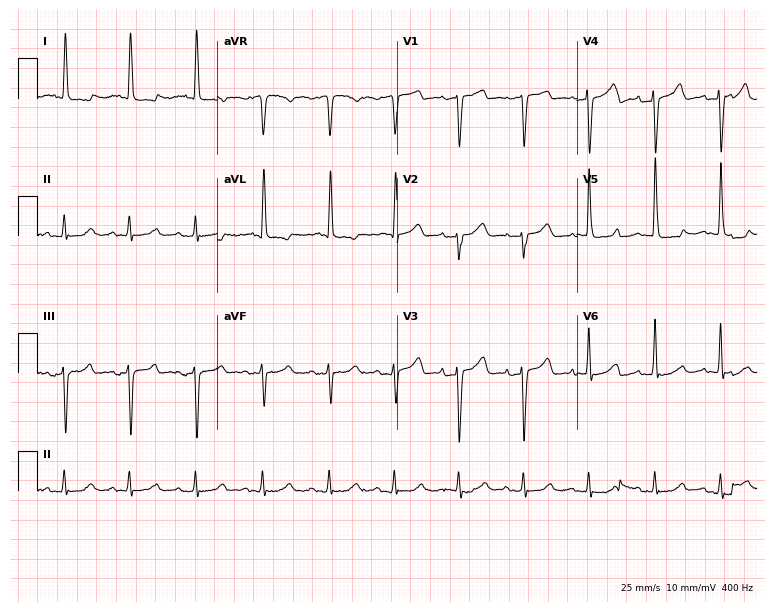
Standard 12-lead ECG recorded from a woman, 81 years old. None of these six findings is recorded: first-degree AV block, right bundle branch block (RBBB), left bundle branch block (LBBB), sinus bradycardia, atrial fibrillation (AF), sinus tachycardia. Findings outside these six are not listed.